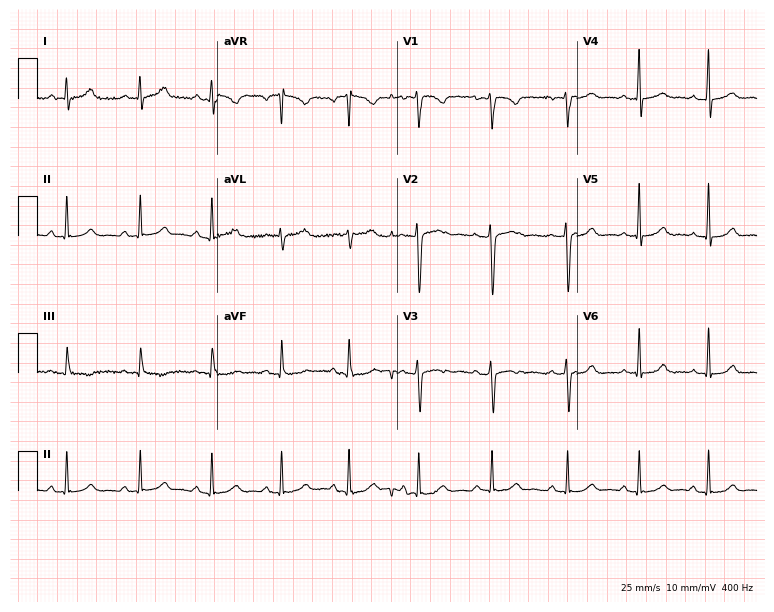
12-lead ECG from a woman, 31 years old (7.3-second recording at 400 Hz). Recorded interpretation: within normal limits.